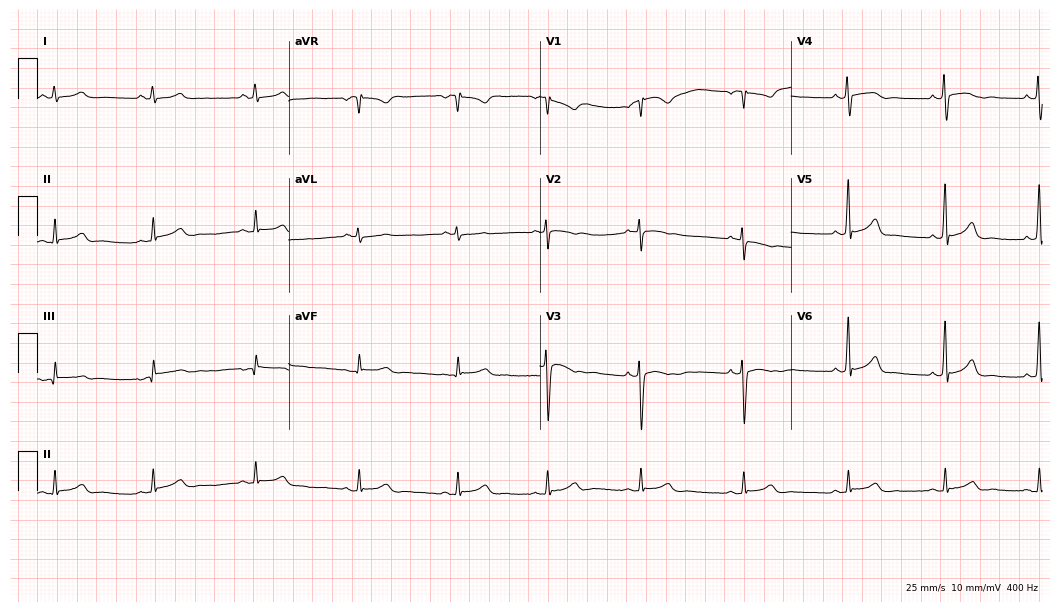
12-lead ECG from a female, 21 years old (10.2-second recording at 400 Hz). Recorded interpretation: within normal limits.